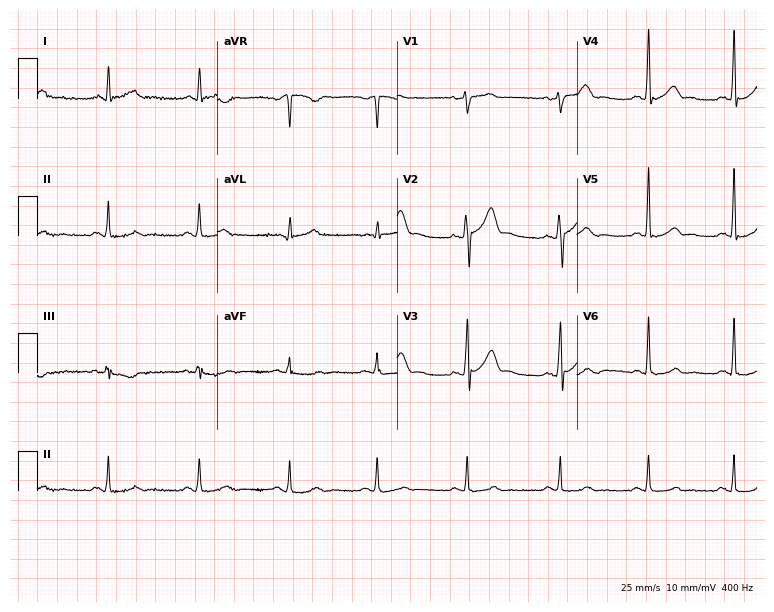
12-lead ECG (7.3-second recording at 400 Hz) from a 66-year-old male patient. Labelled as a normal ECG.